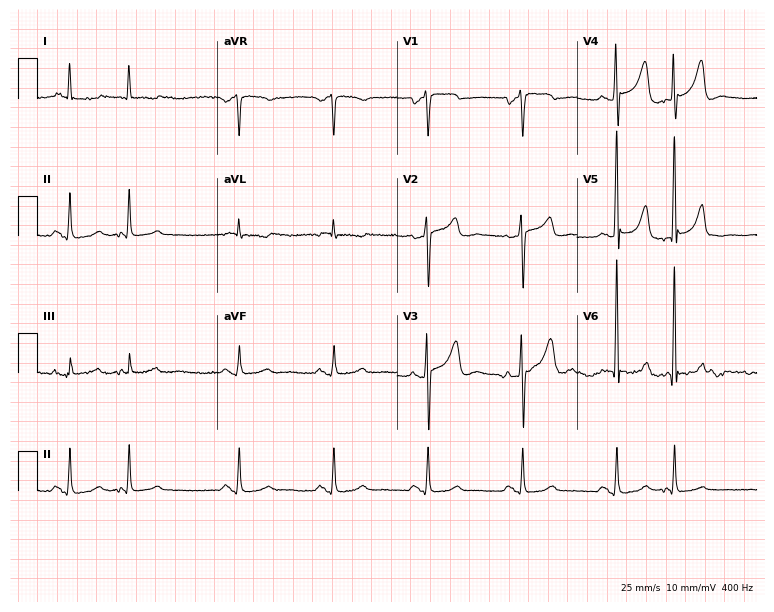
ECG (7.3-second recording at 400 Hz) — a male patient, 69 years old. Findings include first-degree AV block.